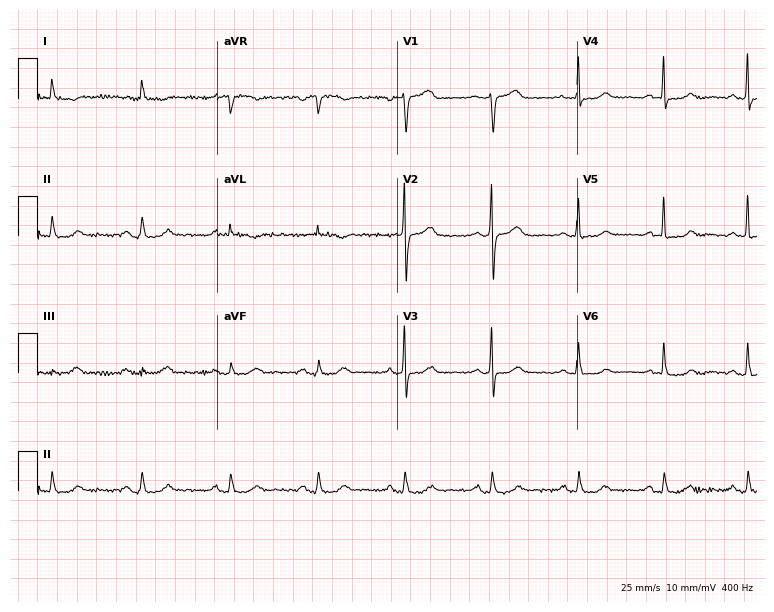
Resting 12-lead electrocardiogram (7.3-second recording at 400 Hz). Patient: a male, 62 years old. Read as a normal ECG.